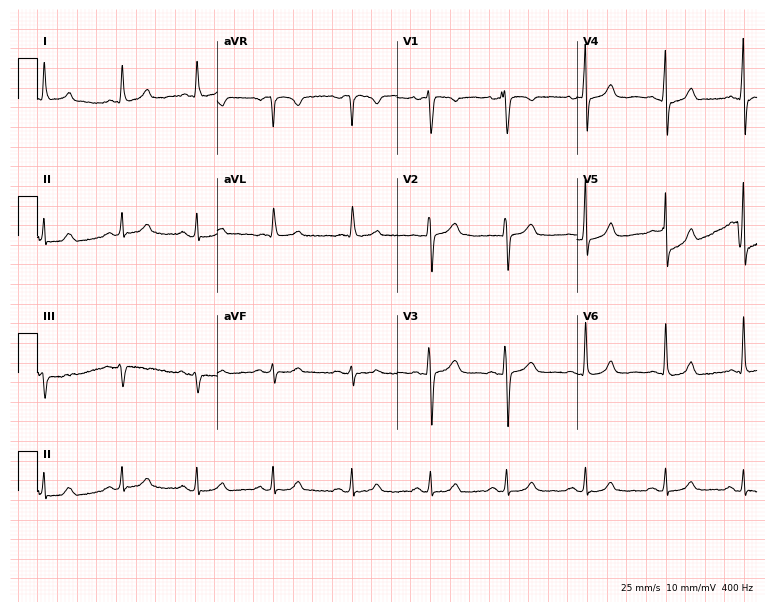
Standard 12-lead ECG recorded from a 75-year-old woman (7.3-second recording at 400 Hz). None of these six findings is recorded: first-degree AV block, right bundle branch block, left bundle branch block, sinus bradycardia, atrial fibrillation, sinus tachycardia. Other findings, if any, are not listed.